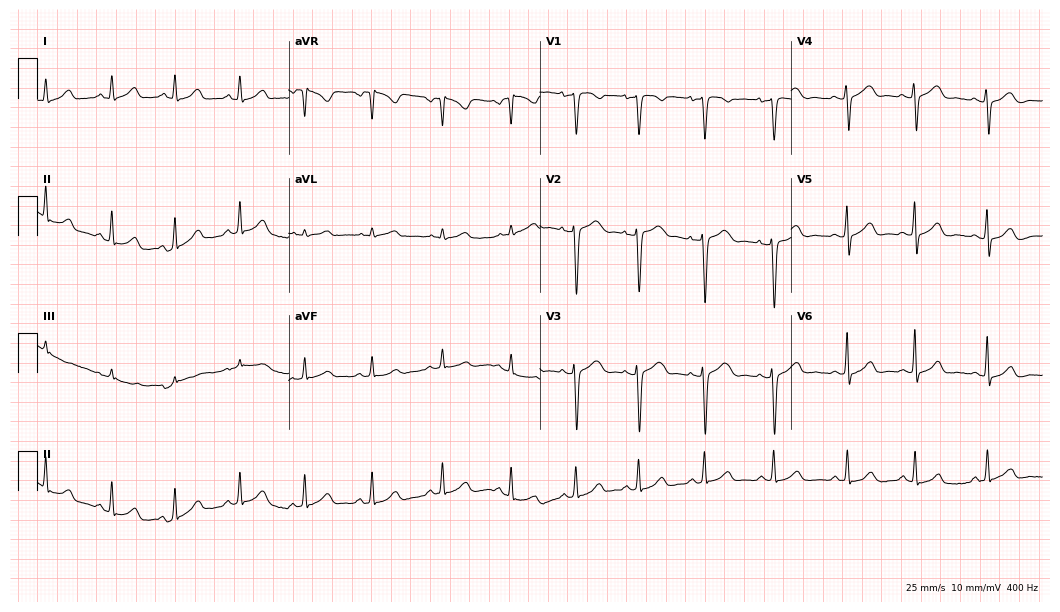
ECG — a woman, 26 years old. Labelled as a normal ECG.